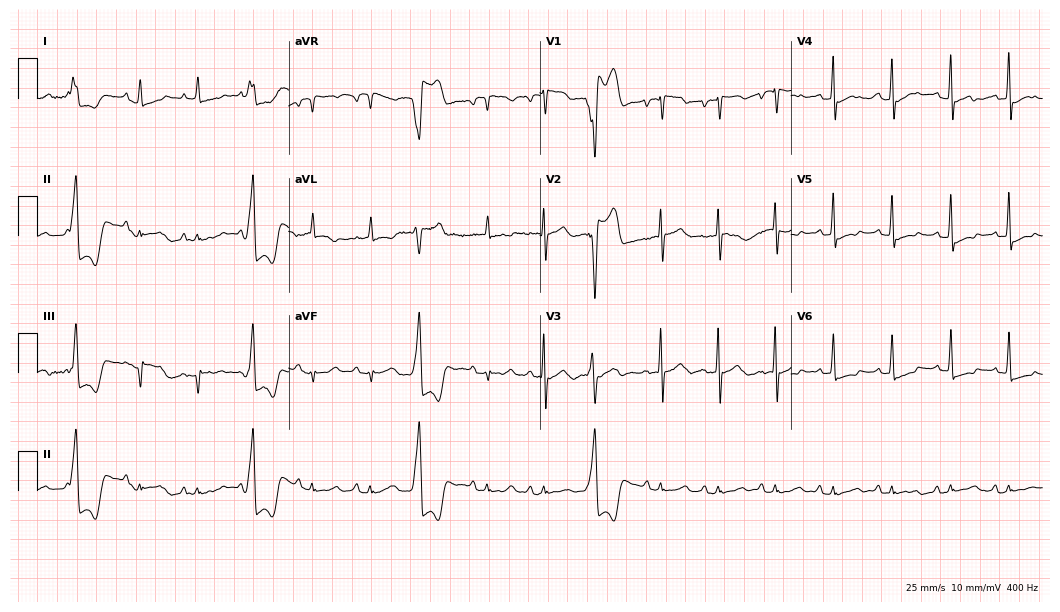
Electrocardiogram (10.2-second recording at 400 Hz), a man, 73 years old. Of the six screened findings (first-degree AV block, right bundle branch block (RBBB), left bundle branch block (LBBB), sinus bradycardia, atrial fibrillation (AF), sinus tachycardia), none is recorded. Only these six findings were labelled.